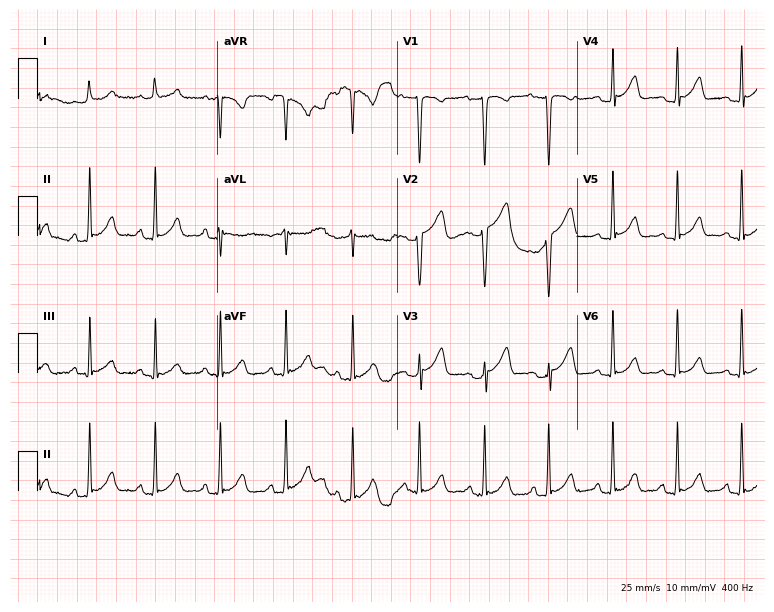
Standard 12-lead ECG recorded from a 22-year-old female patient (7.3-second recording at 400 Hz). None of these six findings is recorded: first-degree AV block, right bundle branch block, left bundle branch block, sinus bradycardia, atrial fibrillation, sinus tachycardia. Findings outside these six are not listed.